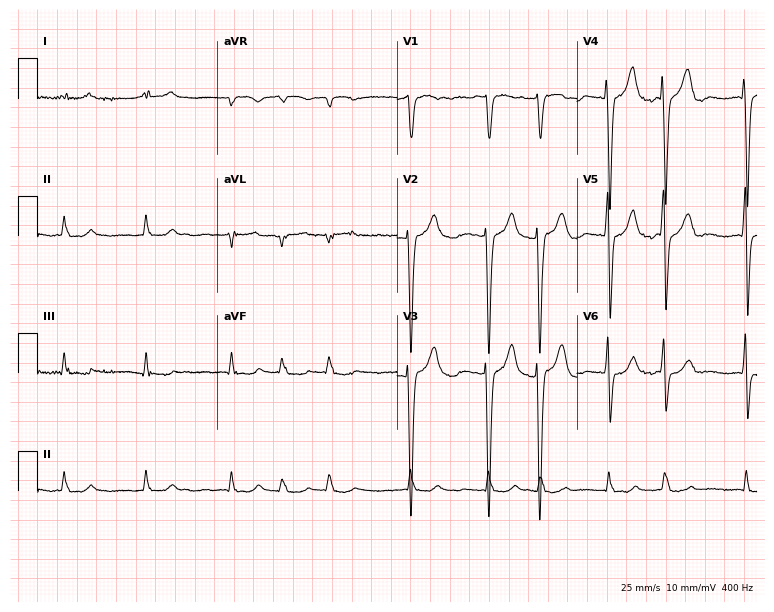
12-lead ECG from a 78-year-old male (7.3-second recording at 400 Hz). Shows atrial fibrillation (AF).